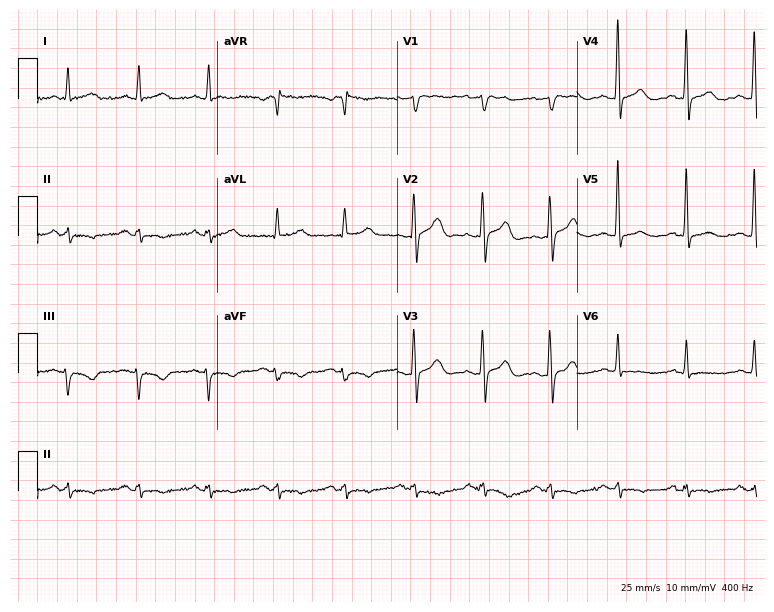
Resting 12-lead electrocardiogram (7.3-second recording at 400 Hz). Patient: a male, 68 years old. None of these six findings is recorded: first-degree AV block, right bundle branch block, left bundle branch block, sinus bradycardia, atrial fibrillation, sinus tachycardia.